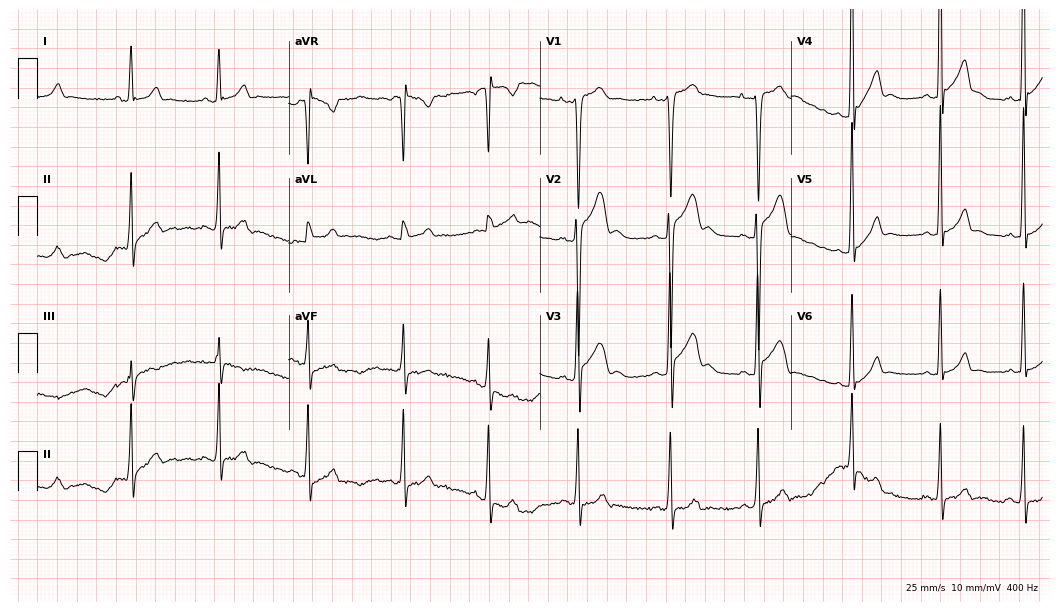
Resting 12-lead electrocardiogram. Patient: a male, 17 years old. Read as a normal ECG.